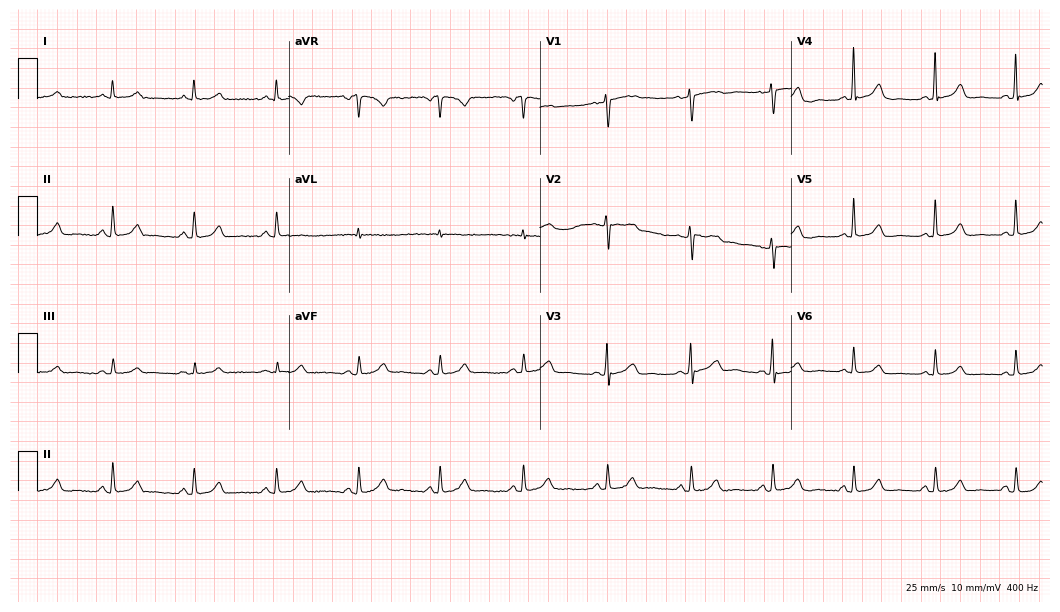
Electrocardiogram (10.2-second recording at 400 Hz), a 64-year-old female. Overall reading on record: normal ECG.